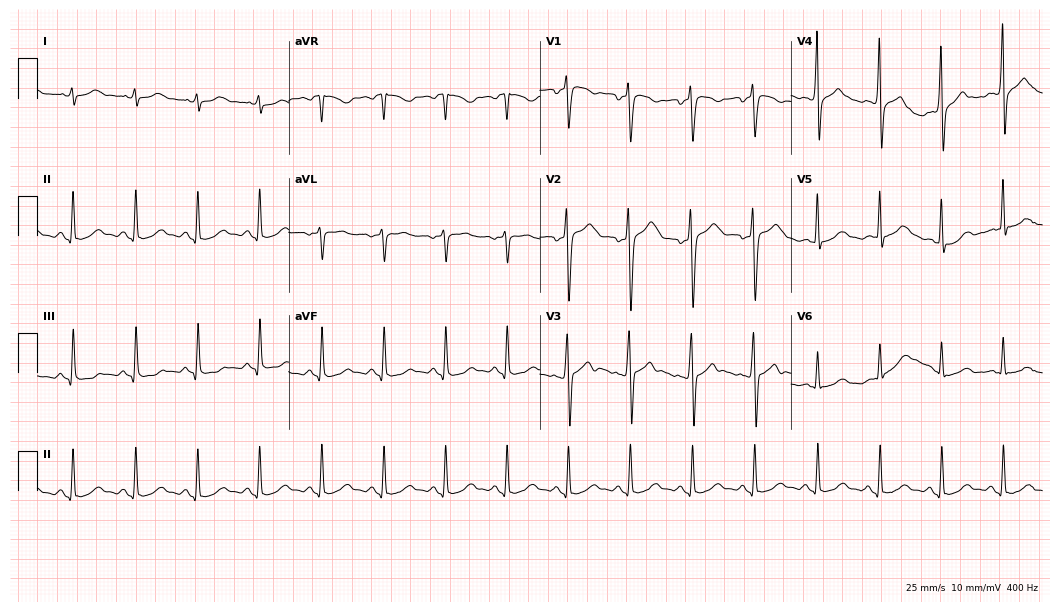
ECG — a 30-year-old female. Screened for six findings — first-degree AV block, right bundle branch block, left bundle branch block, sinus bradycardia, atrial fibrillation, sinus tachycardia — none is recorded.